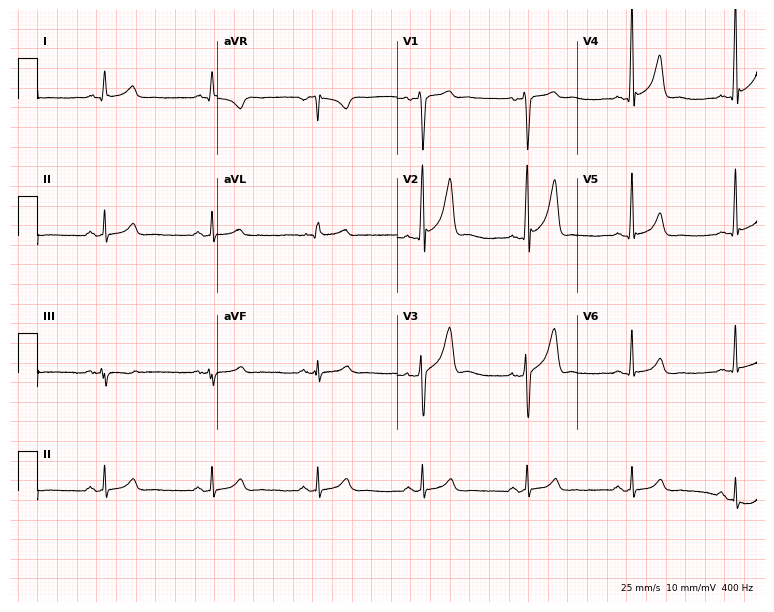
Resting 12-lead electrocardiogram. Patient: a 47-year-old man. Read as a normal ECG.